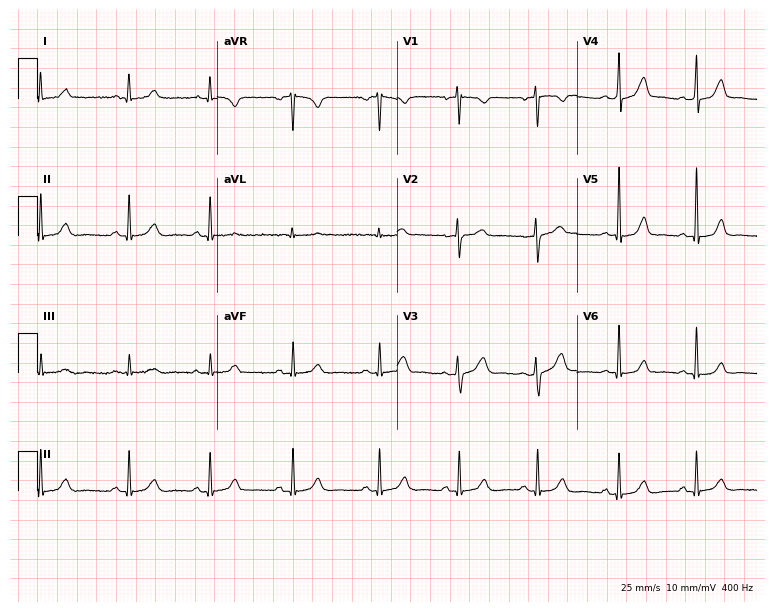
Electrocardiogram, a woman, 34 years old. Of the six screened findings (first-degree AV block, right bundle branch block (RBBB), left bundle branch block (LBBB), sinus bradycardia, atrial fibrillation (AF), sinus tachycardia), none is recorded.